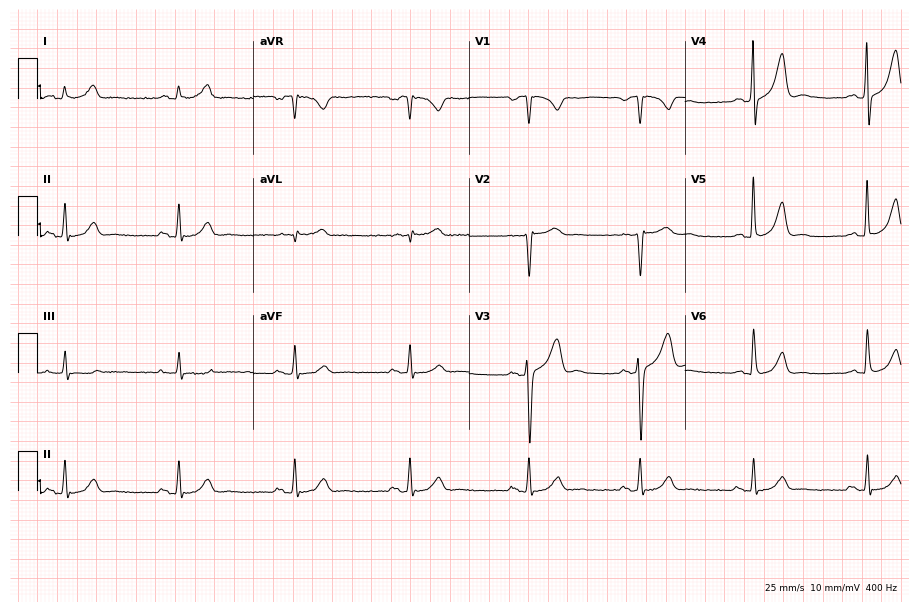
Electrocardiogram (8.8-second recording at 400 Hz), a 56-year-old man. Of the six screened findings (first-degree AV block, right bundle branch block, left bundle branch block, sinus bradycardia, atrial fibrillation, sinus tachycardia), none is recorded. Findings outside these six are not listed.